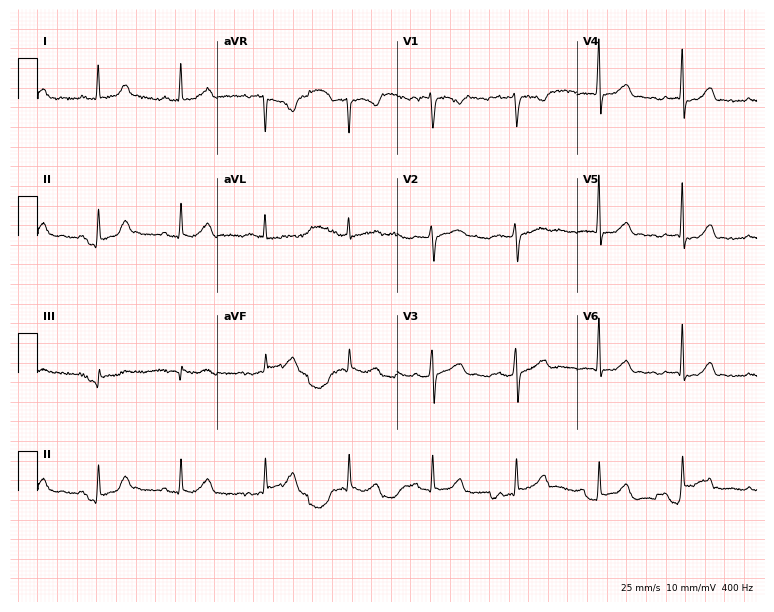
Resting 12-lead electrocardiogram (7.3-second recording at 400 Hz). Patient: a female, 51 years old. None of these six findings is recorded: first-degree AV block, right bundle branch block, left bundle branch block, sinus bradycardia, atrial fibrillation, sinus tachycardia. Findings outside these six are not listed.